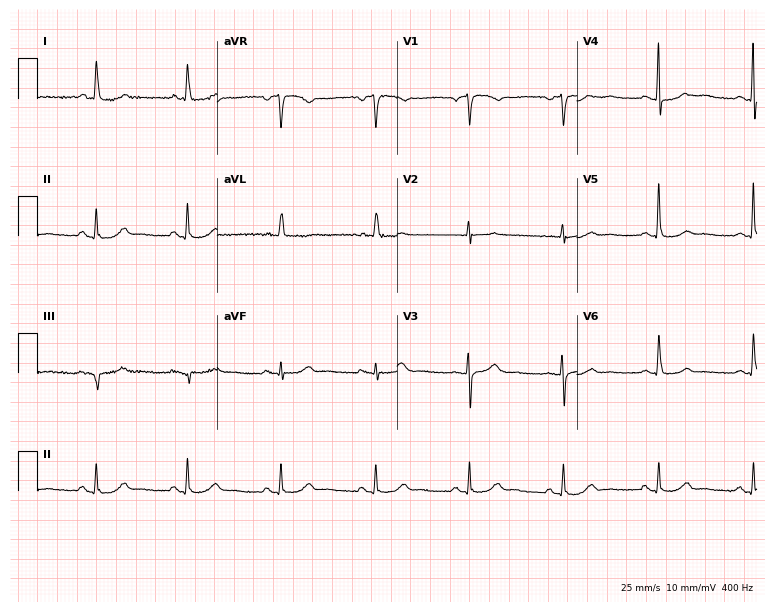
Electrocardiogram, an 80-year-old woman. Overall reading on record: normal ECG.